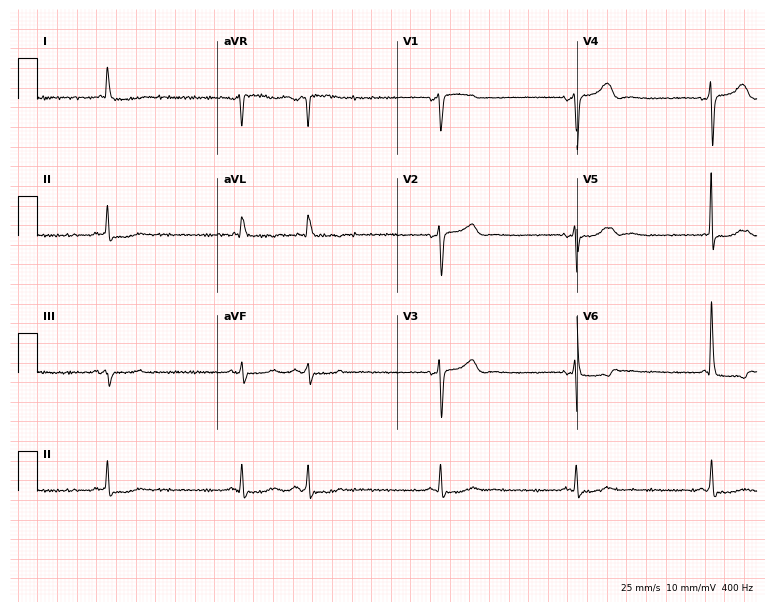
ECG (7.3-second recording at 400 Hz) — a male patient, 80 years old. Screened for six findings — first-degree AV block, right bundle branch block, left bundle branch block, sinus bradycardia, atrial fibrillation, sinus tachycardia — none is recorded.